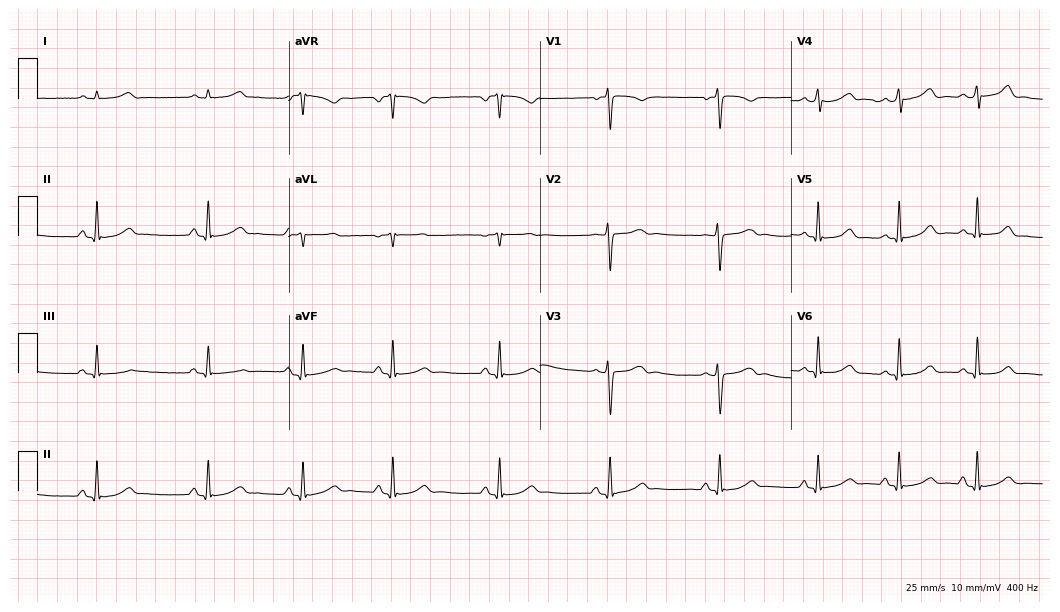
Standard 12-lead ECG recorded from a woman, 19 years old (10.2-second recording at 400 Hz). Read as a normal ECG.